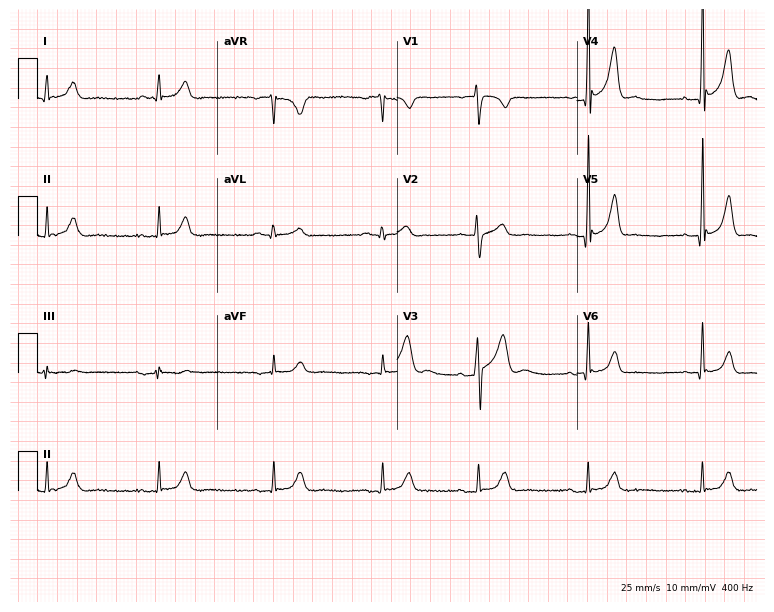
Electrocardiogram (7.3-second recording at 400 Hz), a male, 19 years old. Overall reading on record: normal ECG.